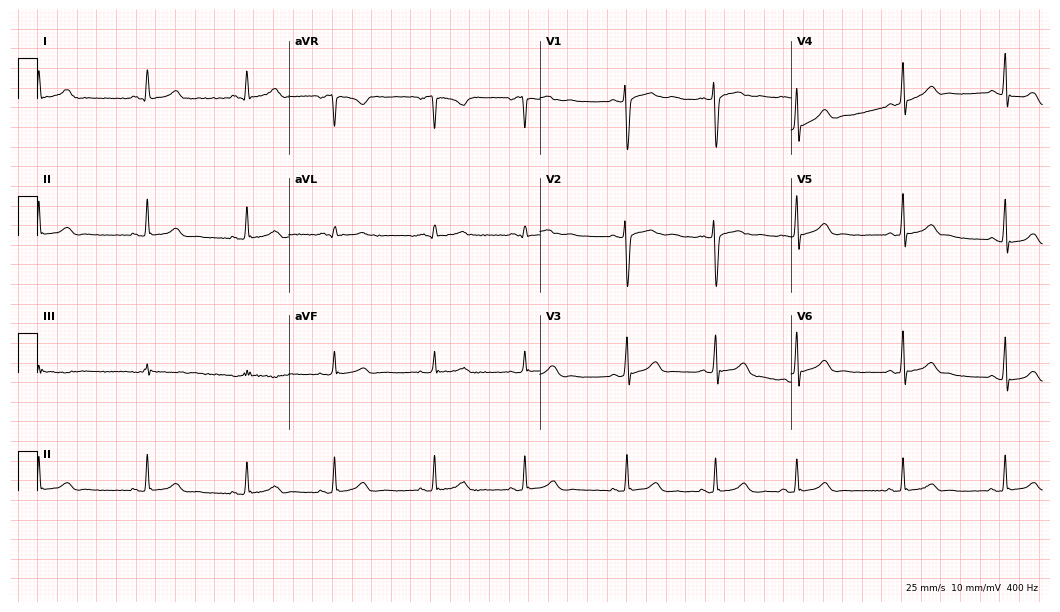
ECG (10.2-second recording at 400 Hz) — a woman, 31 years old. Screened for six findings — first-degree AV block, right bundle branch block (RBBB), left bundle branch block (LBBB), sinus bradycardia, atrial fibrillation (AF), sinus tachycardia — none is recorded.